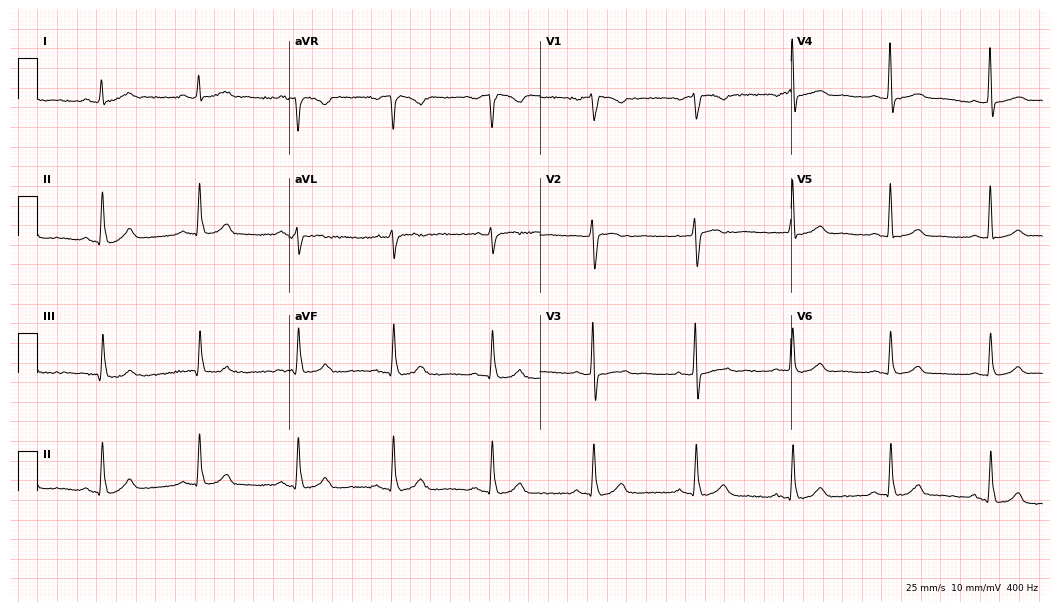
12-lead ECG from a 60-year-old woman. Labelled as a normal ECG.